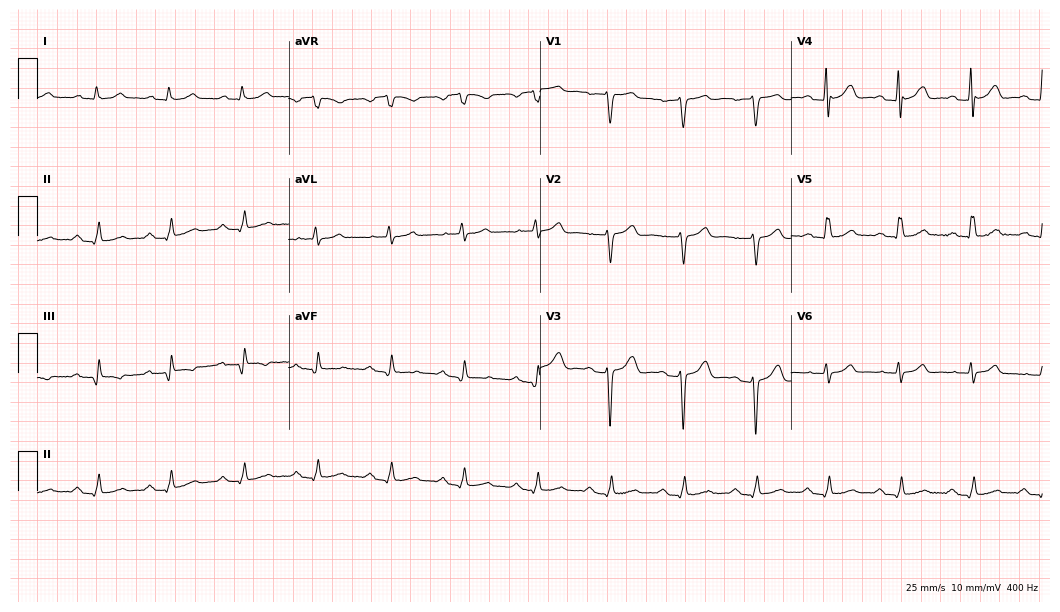
ECG — a male patient, 67 years old. Screened for six findings — first-degree AV block, right bundle branch block, left bundle branch block, sinus bradycardia, atrial fibrillation, sinus tachycardia — none is recorded. Only these six findings were labelled.